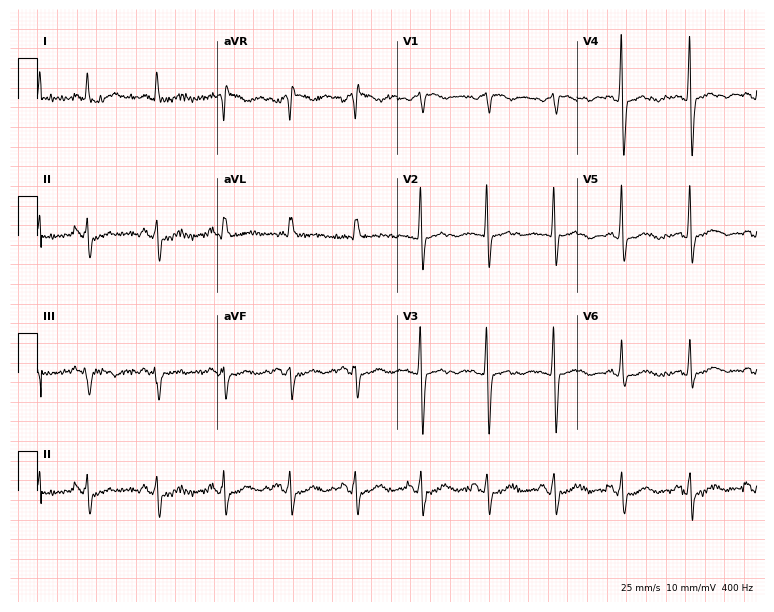
Resting 12-lead electrocardiogram. Patient: a female, 69 years old. None of these six findings is recorded: first-degree AV block, right bundle branch block, left bundle branch block, sinus bradycardia, atrial fibrillation, sinus tachycardia.